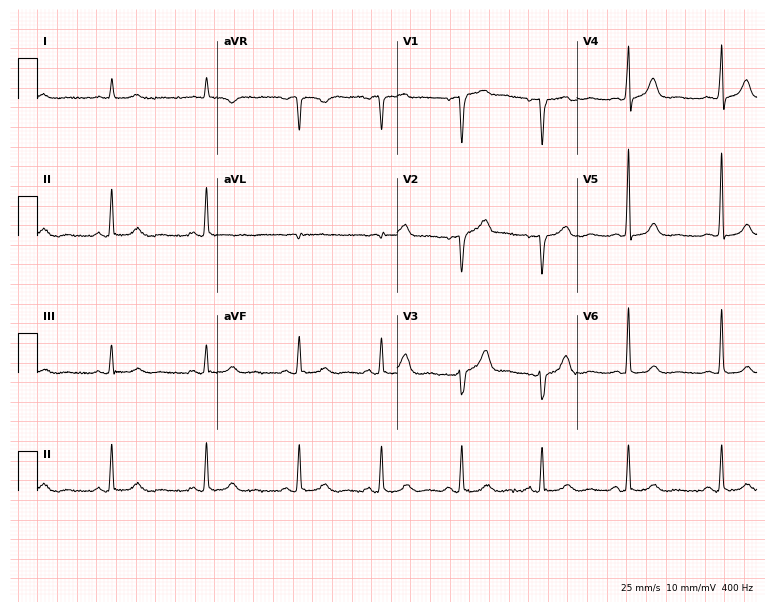
ECG (7.3-second recording at 400 Hz) — a 52-year-old male patient. Screened for six findings — first-degree AV block, right bundle branch block (RBBB), left bundle branch block (LBBB), sinus bradycardia, atrial fibrillation (AF), sinus tachycardia — none is recorded. Only these six findings were labelled.